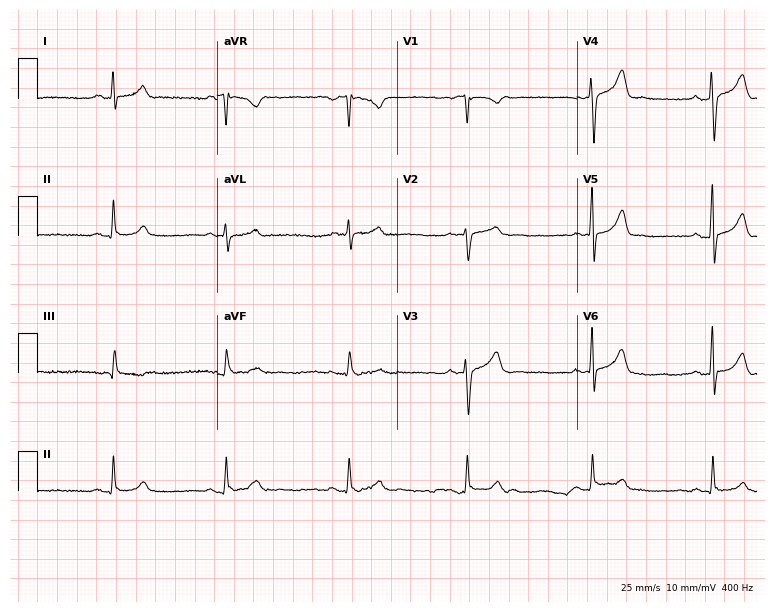
Standard 12-lead ECG recorded from a male patient, 58 years old (7.3-second recording at 400 Hz). The tracing shows sinus bradycardia (a sinus rate of 50 beats per minute or less).